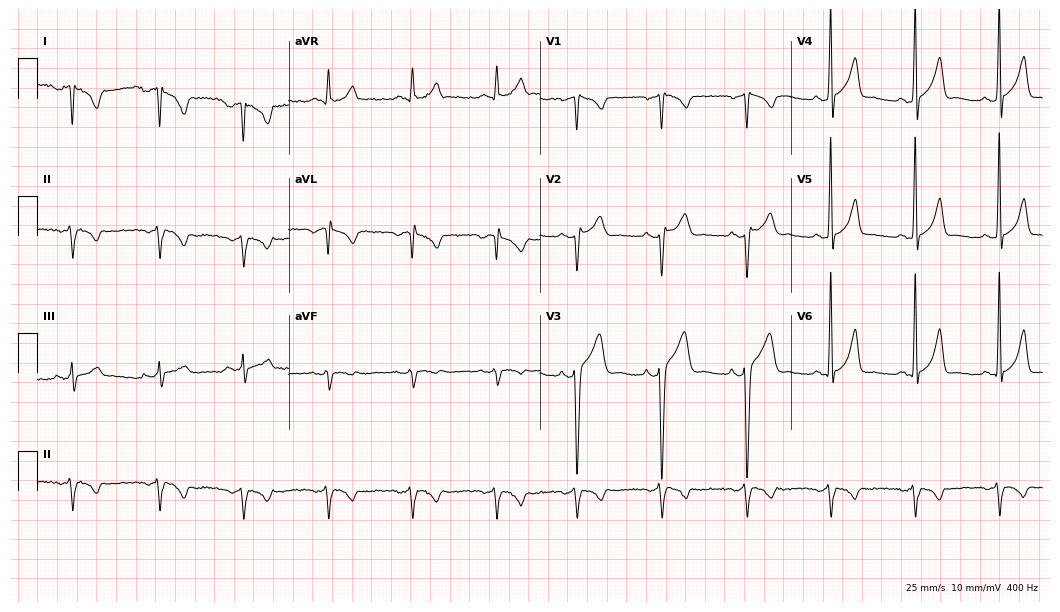
12-lead ECG from a 23-year-old male patient. No first-degree AV block, right bundle branch block, left bundle branch block, sinus bradycardia, atrial fibrillation or sinus tachycardia recorded for this tracing.